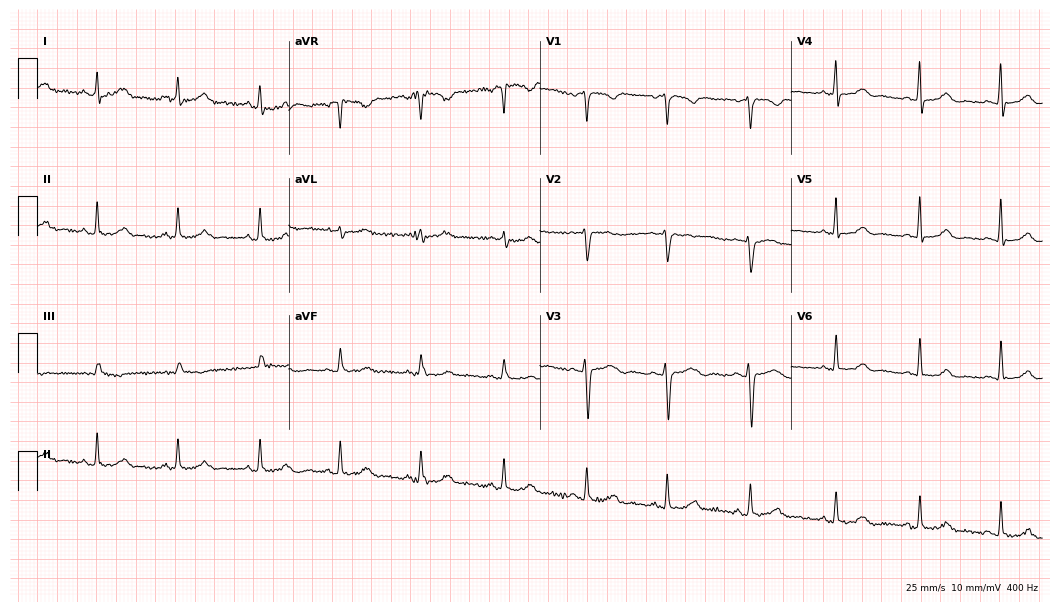
Standard 12-lead ECG recorded from a 35-year-old woman. Read as a normal ECG.